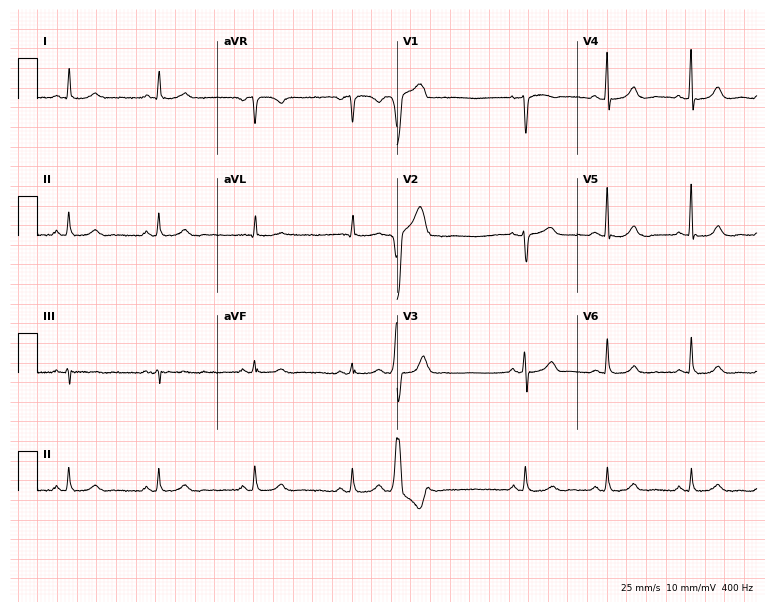
12-lead ECG (7.3-second recording at 400 Hz) from a 45-year-old female patient. Screened for six findings — first-degree AV block, right bundle branch block, left bundle branch block, sinus bradycardia, atrial fibrillation, sinus tachycardia — none is recorded. Findings outside these six are not listed.